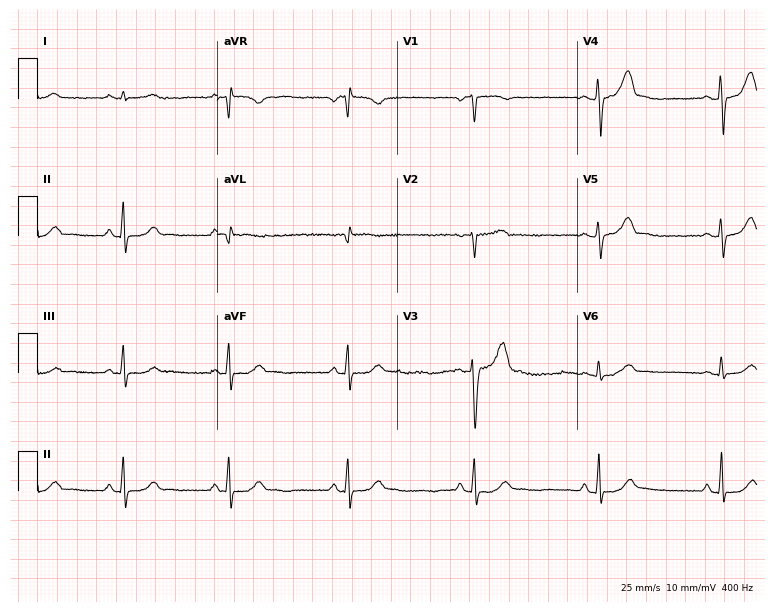
Resting 12-lead electrocardiogram (7.3-second recording at 400 Hz). Patient: a 31-year-old male. None of these six findings is recorded: first-degree AV block, right bundle branch block, left bundle branch block, sinus bradycardia, atrial fibrillation, sinus tachycardia. Findings outside these six are not listed.